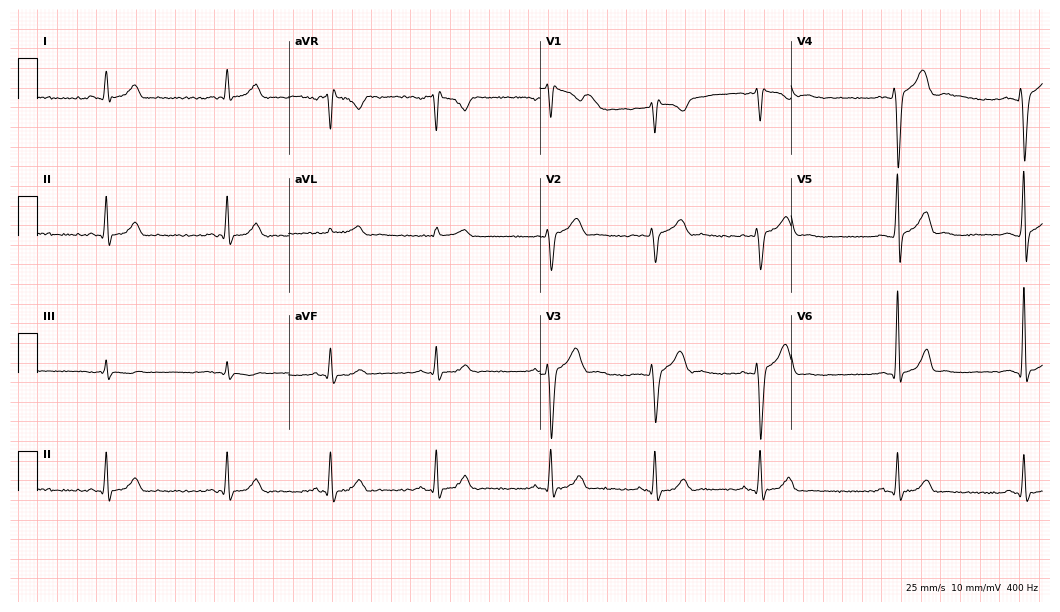
Electrocardiogram (10.2-second recording at 400 Hz), a male patient, 32 years old. Of the six screened findings (first-degree AV block, right bundle branch block, left bundle branch block, sinus bradycardia, atrial fibrillation, sinus tachycardia), none is recorded. Findings outside these six are not listed.